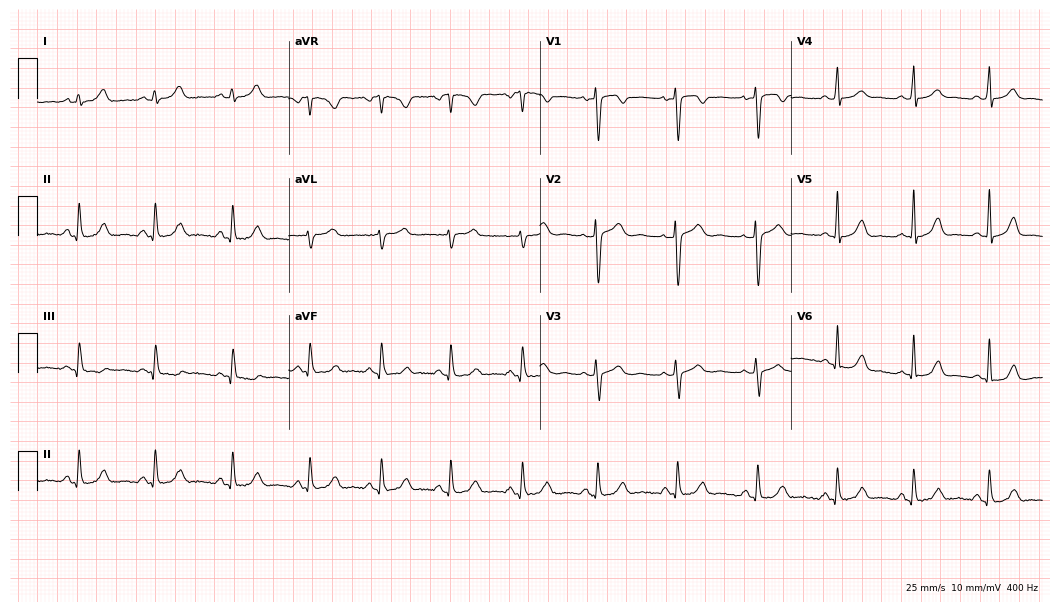
ECG — a 23-year-old female. Screened for six findings — first-degree AV block, right bundle branch block, left bundle branch block, sinus bradycardia, atrial fibrillation, sinus tachycardia — none is recorded. Only these six findings were labelled.